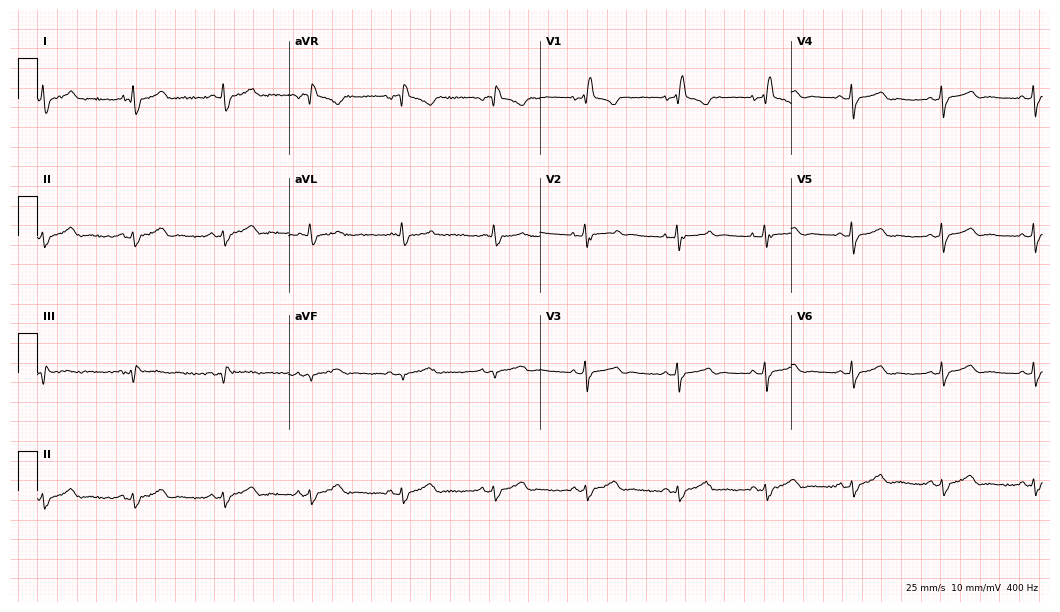
12-lead ECG from a woman, 44 years old. Shows right bundle branch block (RBBB).